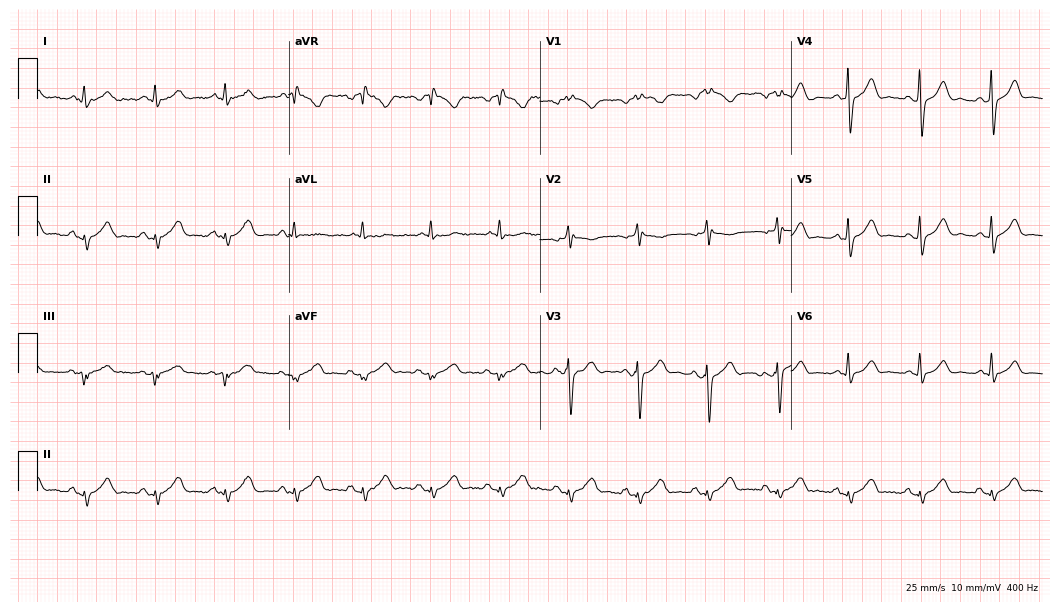
Standard 12-lead ECG recorded from a man, 70 years old (10.2-second recording at 400 Hz). Read as a normal ECG.